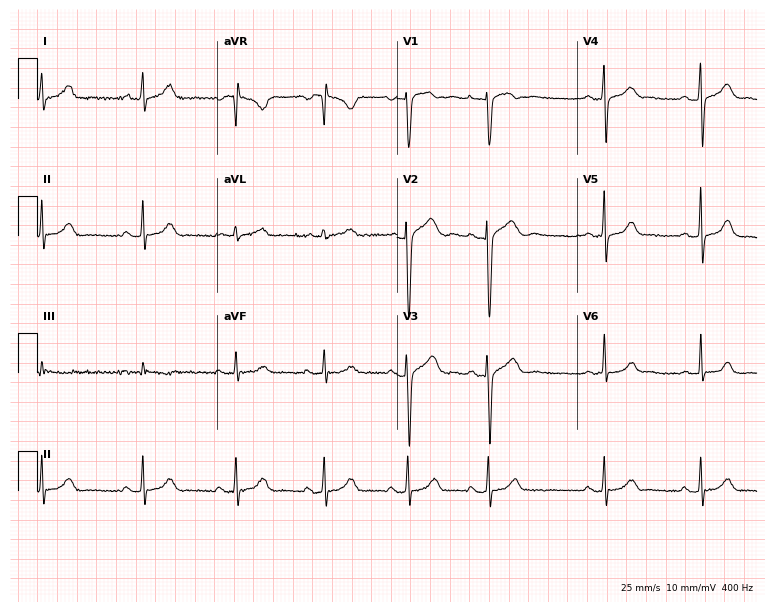
Resting 12-lead electrocardiogram (7.3-second recording at 400 Hz). Patient: a female, 25 years old. None of these six findings is recorded: first-degree AV block, right bundle branch block, left bundle branch block, sinus bradycardia, atrial fibrillation, sinus tachycardia. Findings outside these six are not listed.